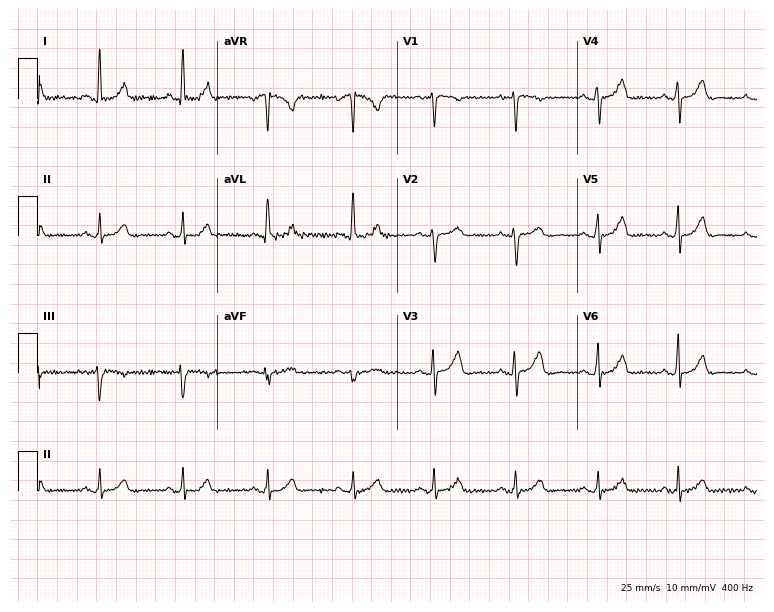
Resting 12-lead electrocardiogram (7.3-second recording at 400 Hz). Patient: a female, 45 years old. Read as a normal ECG.